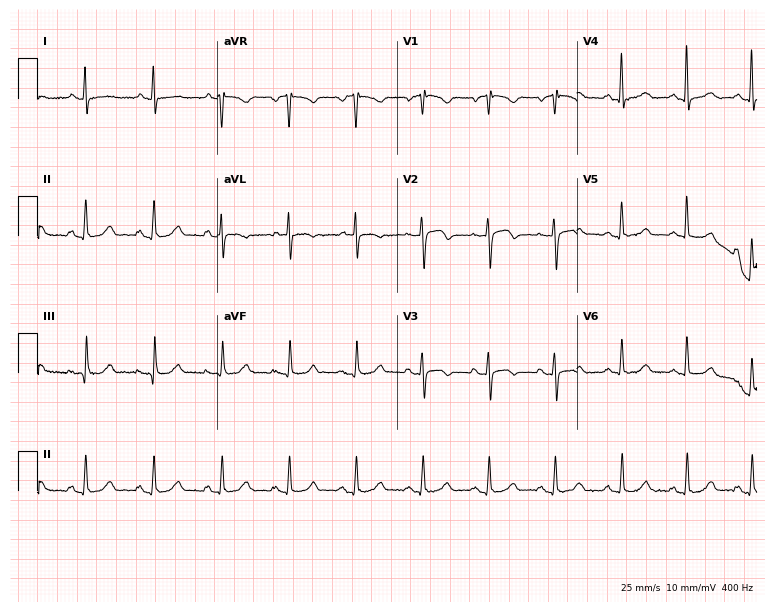
12-lead ECG from an 81-year-old female patient. No first-degree AV block, right bundle branch block (RBBB), left bundle branch block (LBBB), sinus bradycardia, atrial fibrillation (AF) or sinus tachycardia recorded for this tracing. Findings outside these six are not listed.